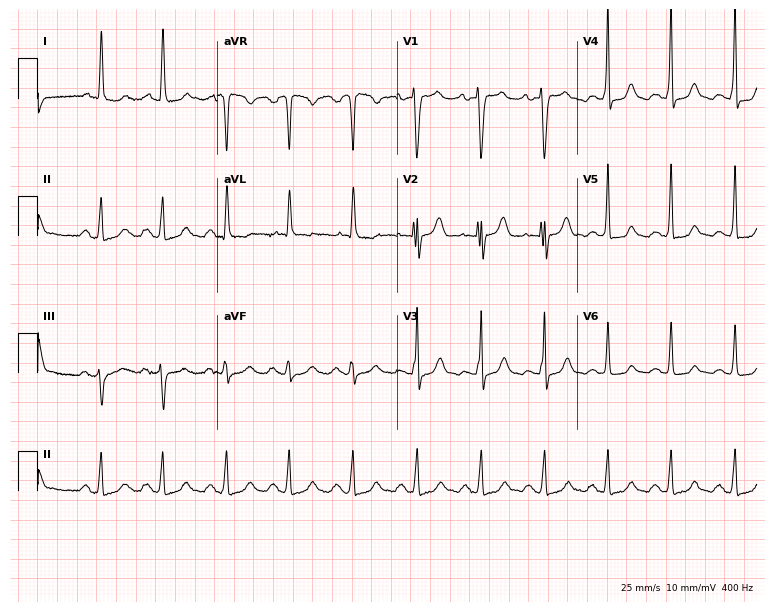
Resting 12-lead electrocardiogram (7.3-second recording at 400 Hz). Patient: a 75-year-old female. None of these six findings is recorded: first-degree AV block, right bundle branch block, left bundle branch block, sinus bradycardia, atrial fibrillation, sinus tachycardia.